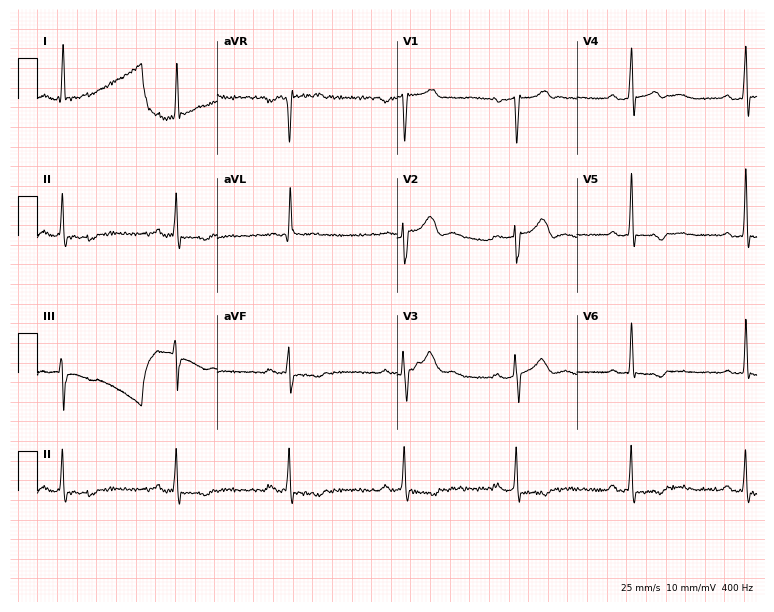
Standard 12-lead ECG recorded from a male, 68 years old (7.3-second recording at 400 Hz). None of these six findings is recorded: first-degree AV block, right bundle branch block (RBBB), left bundle branch block (LBBB), sinus bradycardia, atrial fibrillation (AF), sinus tachycardia. Findings outside these six are not listed.